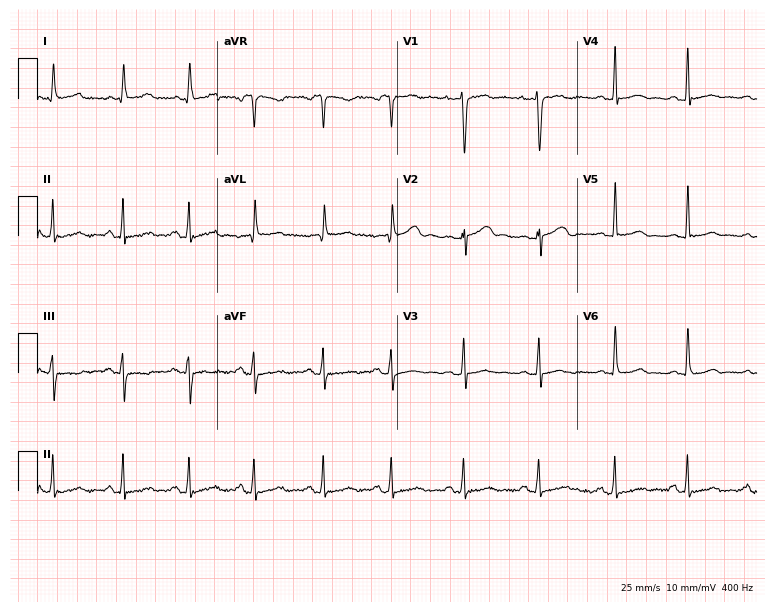
Standard 12-lead ECG recorded from a 36-year-old female patient. None of these six findings is recorded: first-degree AV block, right bundle branch block, left bundle branch block, sinus bradycardia, atrial fibrillation, sinus tachycardia. Only these six findings were labelled.